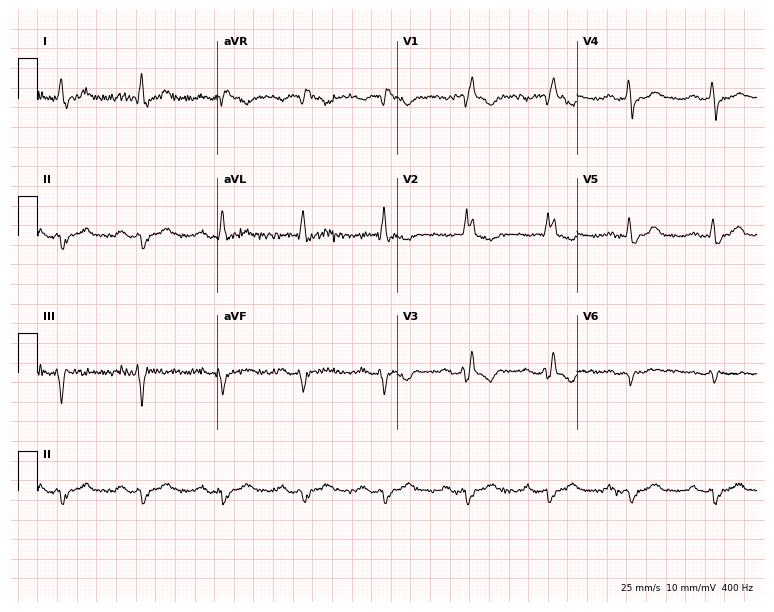
Electrocardiogram (7.3-second recording at 400 Hz), a woman, 79 years old. Interpretation includes right bundle branch block.